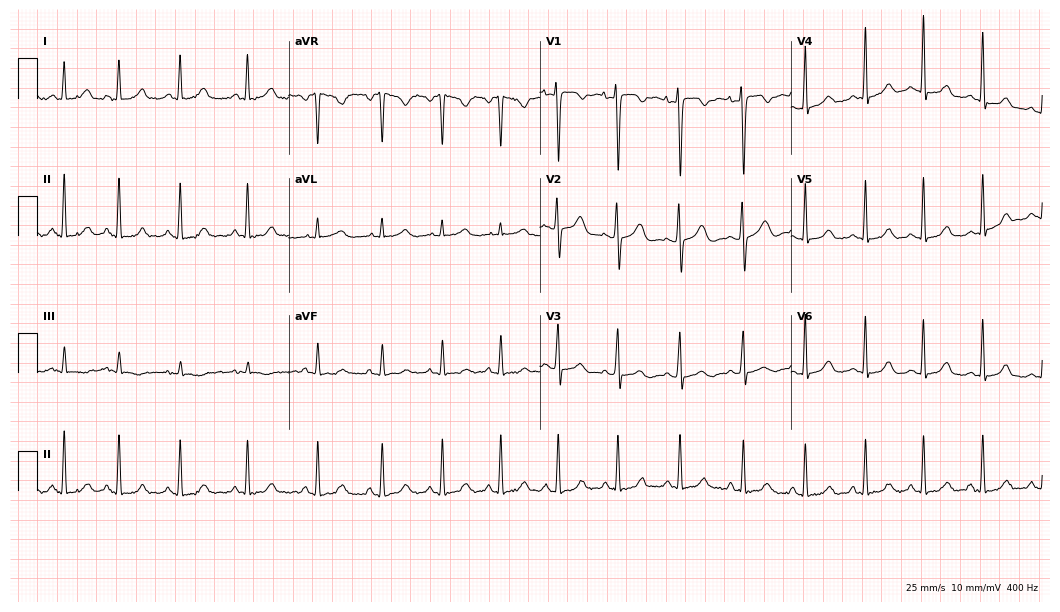
Electrocardiogram (10.2-second recording at 400 Hz), a 24-year-old female patient. Overall reading on record: normal ECG.